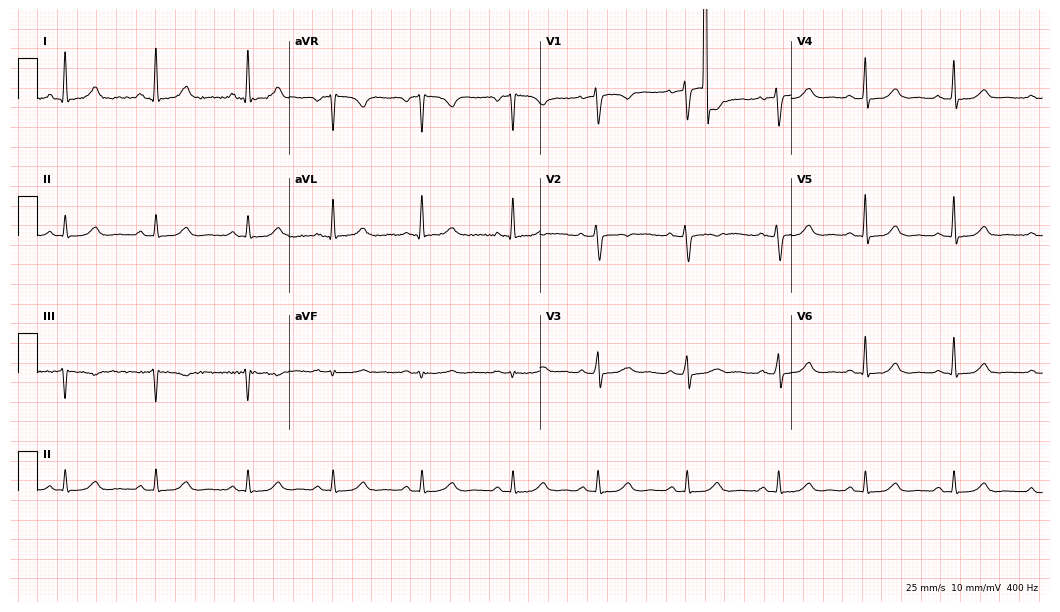
ECG (10.2-second recording at 400 Hz) — a female, 44 years old. Labelled as a normal ECG.